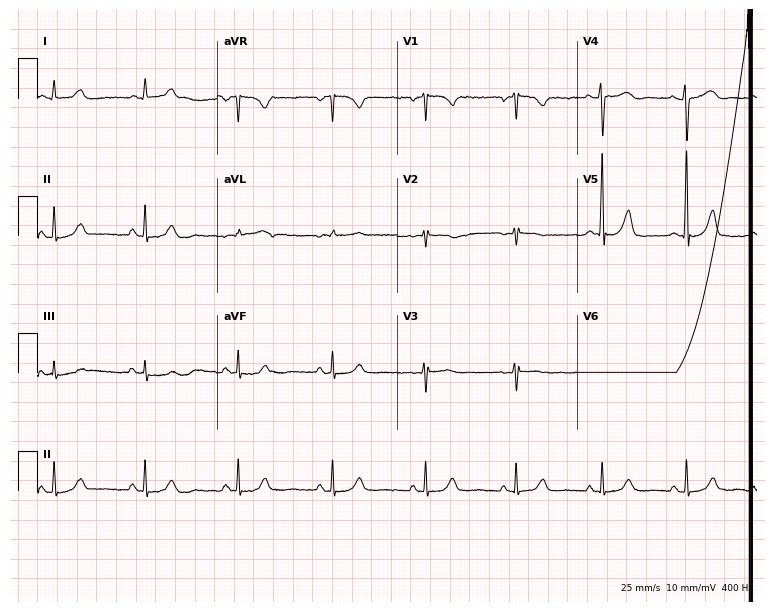
Standard 12-lead ECG recorded from a 45-year-old female patient. None of these six findings is recorded: first-degree AV block, right bundle branch block (RBBB), left bundle branch block (LBBB), sinus bradycardia, atrial fibrillation (AF), sinus tachycardia. Findings outside these six are not listed.